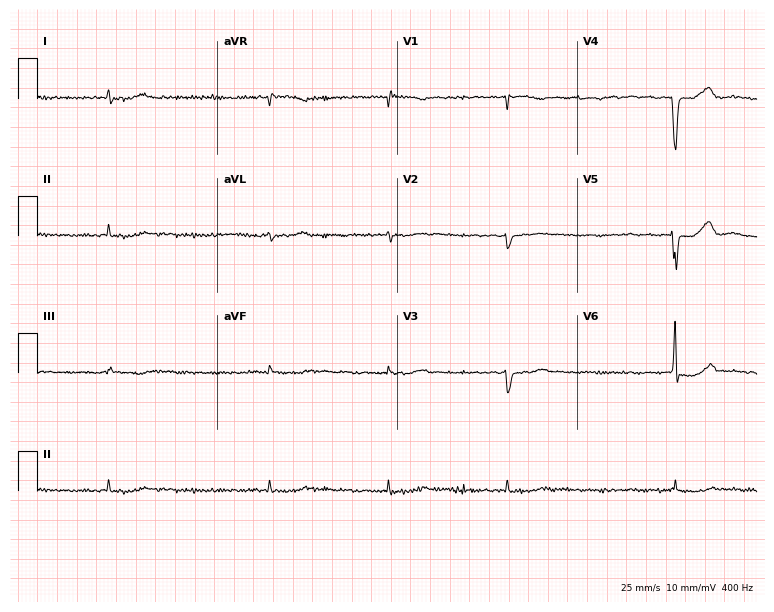
ECG (7.3-second recording at 400 Hz) — a male patient, 79 years old. Findings include atrial fibrillation.